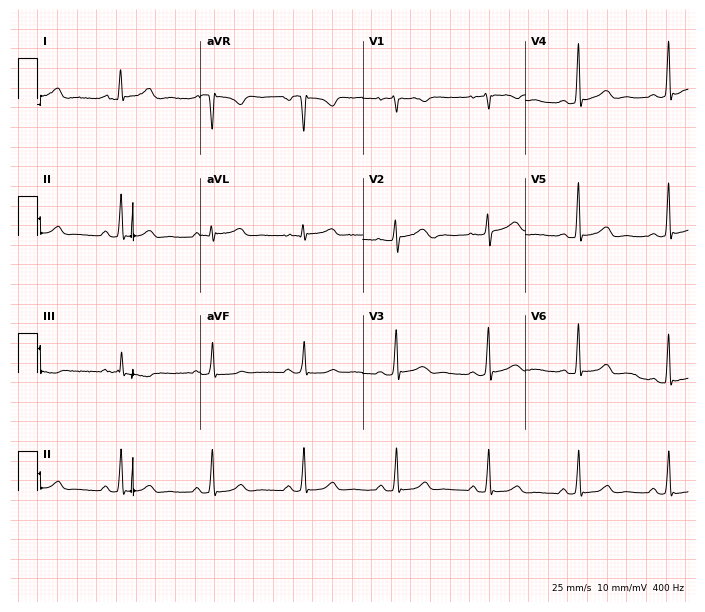
Electrocardiogram, a female patient, 41 years old. Overall reading on record: normal ECG.